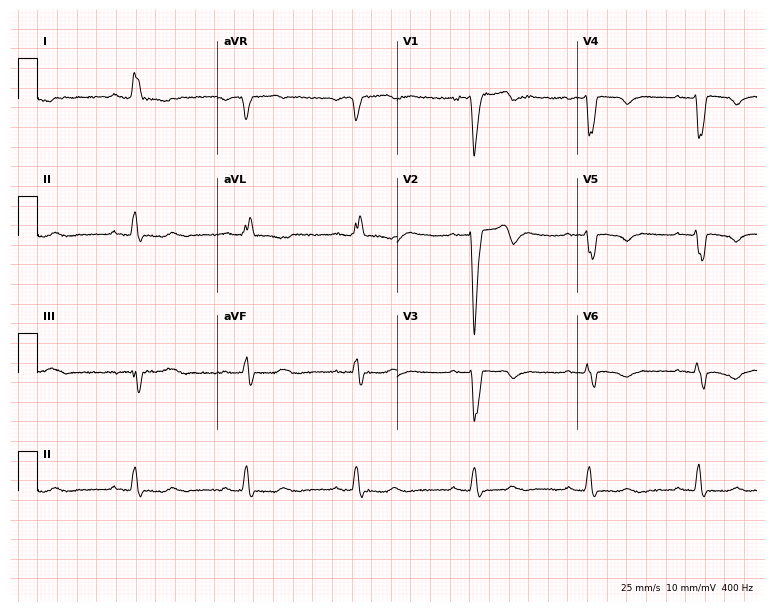
12-lead ECG from a female patient, 49 years old. Findings include left bundle branch block.